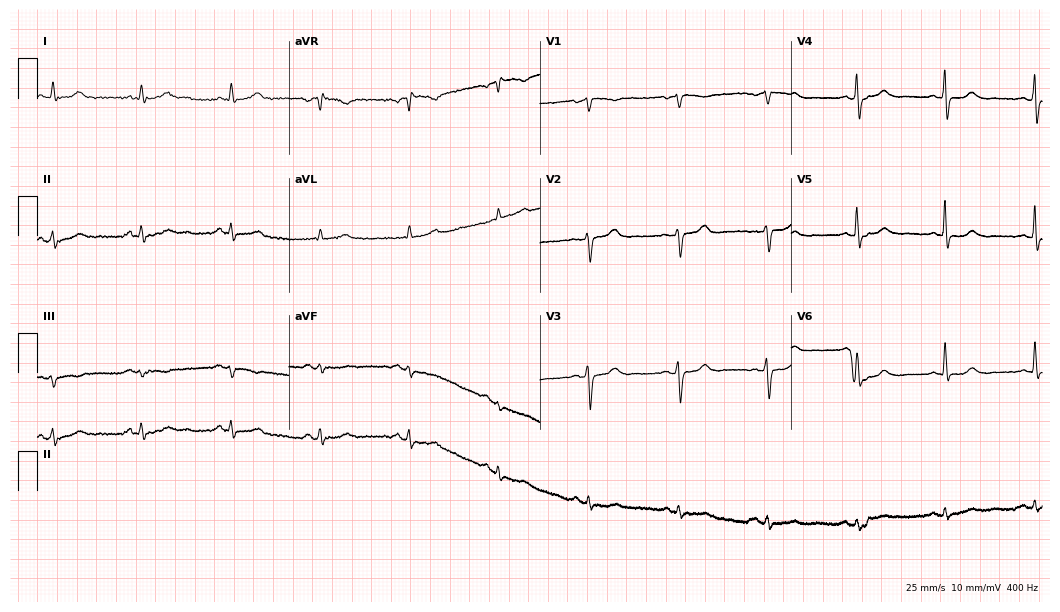
12-lead ECG from a man, 71 years old. Screened for six findings — first-degree AV block, right bundle branch block, left bundle branch block, sinus bradycardia, atrial fibrillation, sinus tachycardia — none is recorded. Only these six findings were labelled.